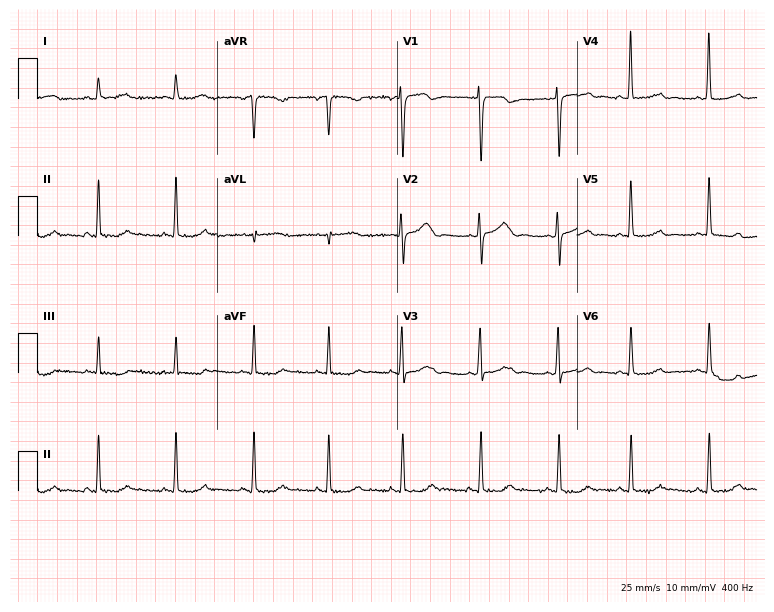
Electrocardiogram (7.3-second recording at 400 Hz), a 45-year-old female patient. Overall reading on record: normal ECG.